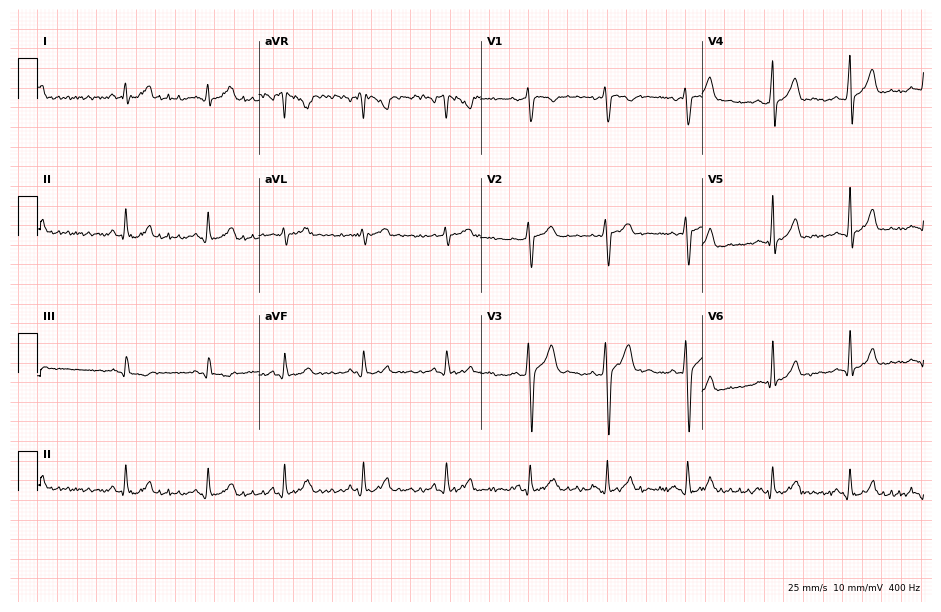
Standard 12-lead ECG recorded from a 24-year-old male patient (9-second recording at 400 Hz). Read as a normal ECG.